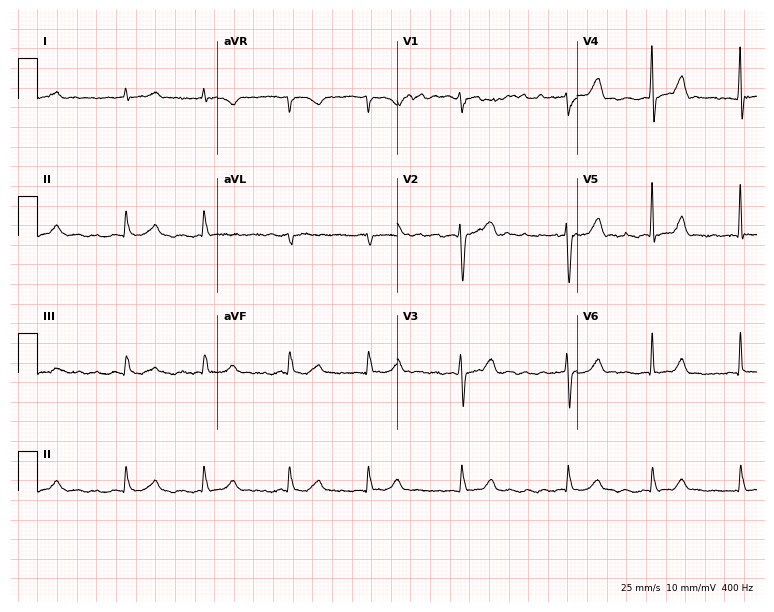
12-lead ECG from a male patient, 83 years old. Findings include atrial fibrillation.